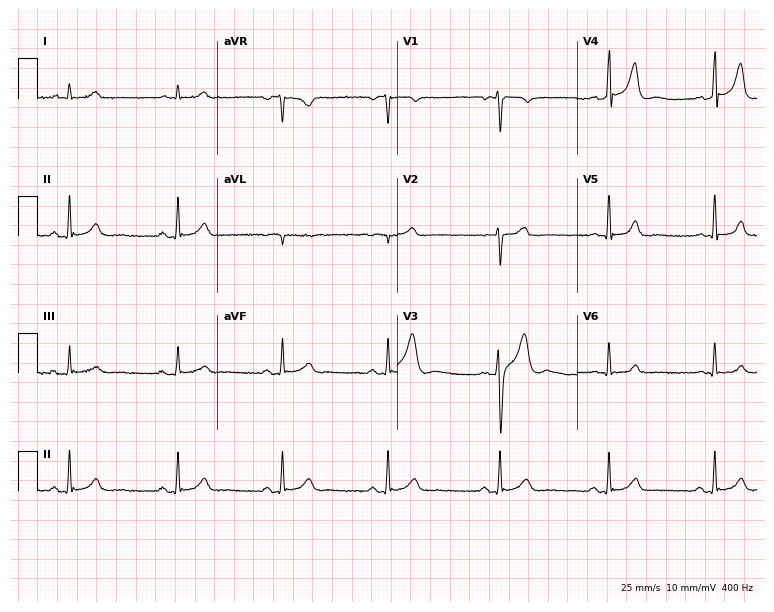
12-lead ECG from a man, 46 years old. Screened for six findings — first-degree AV block, right bundle branch block, left bundle branch block, sinus bradycardia, atrial fibrillation, sinus tachycardia — none is recorded.